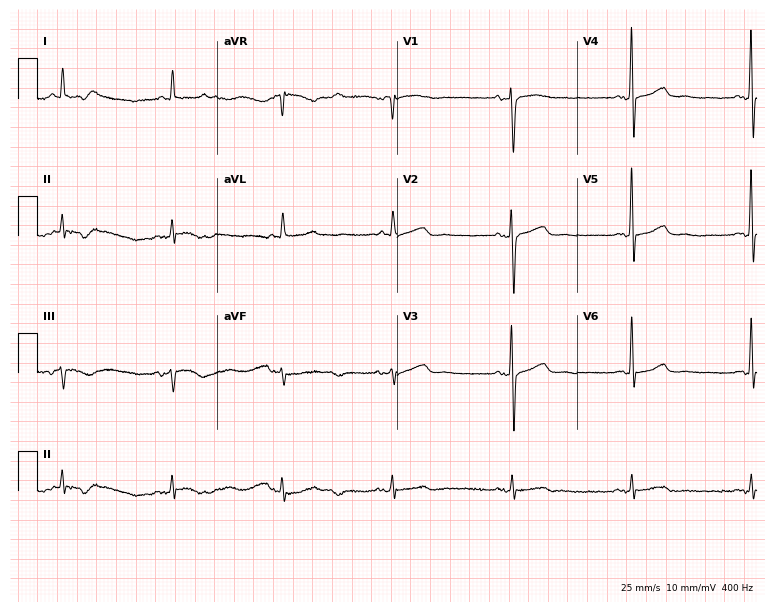
12-lead ECG from an 83-year-old woman. Recorded interpretation: within normal limits.